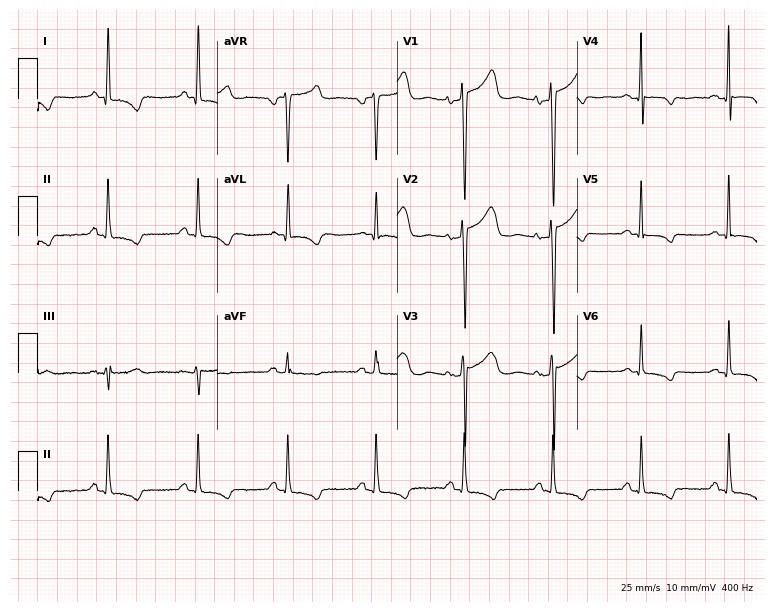
Standard 12-lead ECG recorded from a 57-year-old female patient. None of these six findings is recorded: first-degree AV block, right bundle branch block, left bundle branch block, sinus bradycardia, atrial fibrillation, sinus tachycardia.